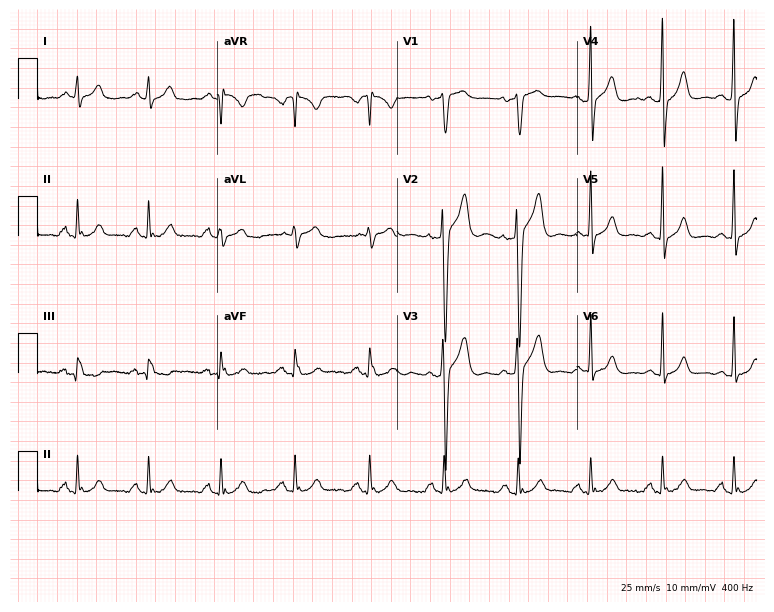
12-lead ECG from a 38-year-old man. Recorded interpretation: within normal limits.